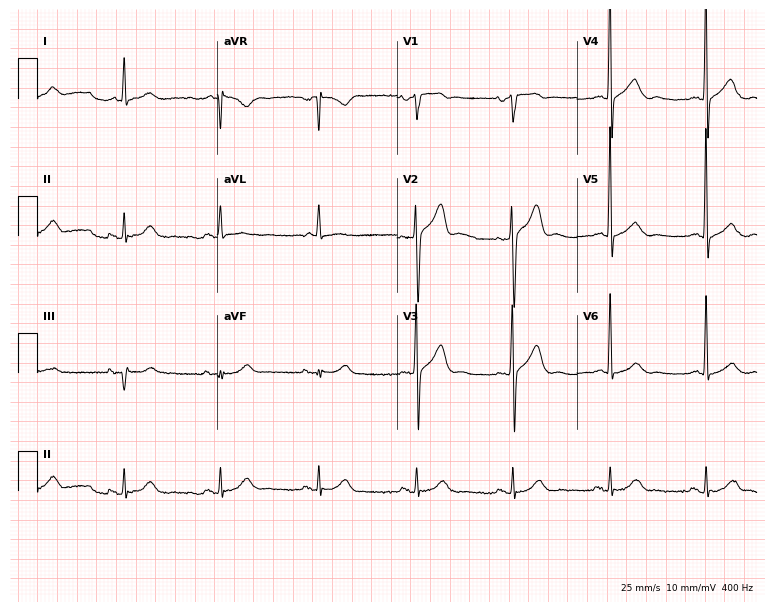
Standard 12-lead ECG recorded from a male, 64 years old. Read as a normal ECG.